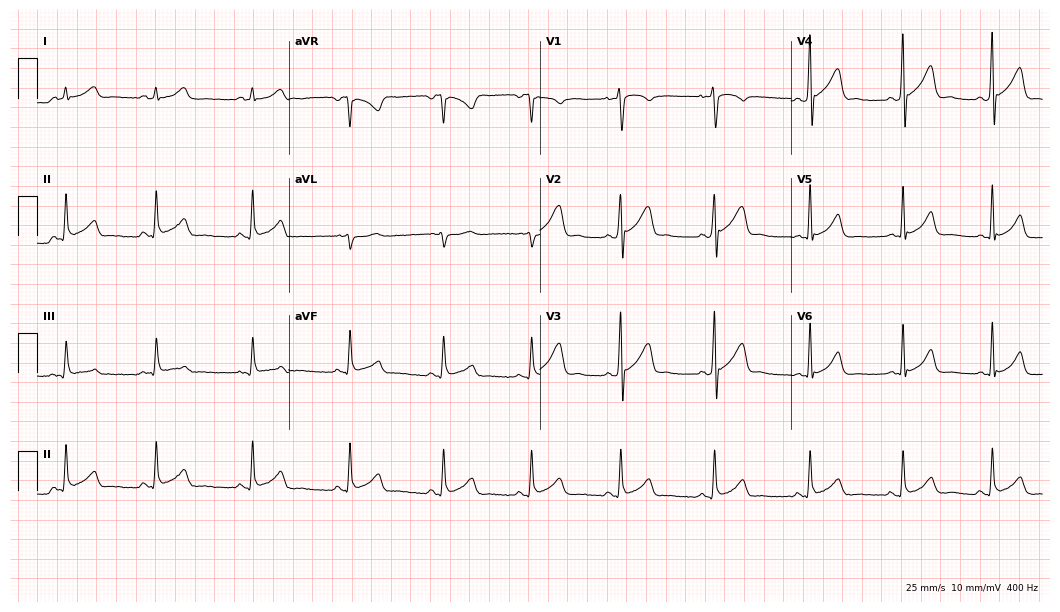
Electrocardiogram (10.2-second recording at 400 Hz), a male patient, 19 years old. Of the six screened findings (first-degree AV block, right bundle branch block, left bundle branch block, sinus bradycardia, atrial fibrillation, sinus tachycardia), none is recorded. Only these six findings were labelled.